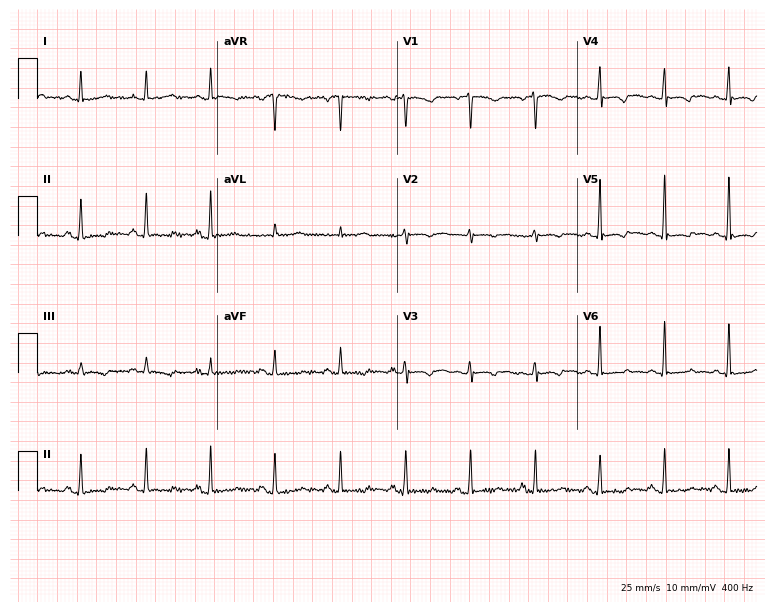
12-lead ECG from a female, 56 years old. Screened for six findings — first-degree AV block, right bundle branch block (RBBB), left bundle branch block (LBBB), sinus bradycardia, atrial fibrillation (AF), sinus tachycardia — none is recorded.